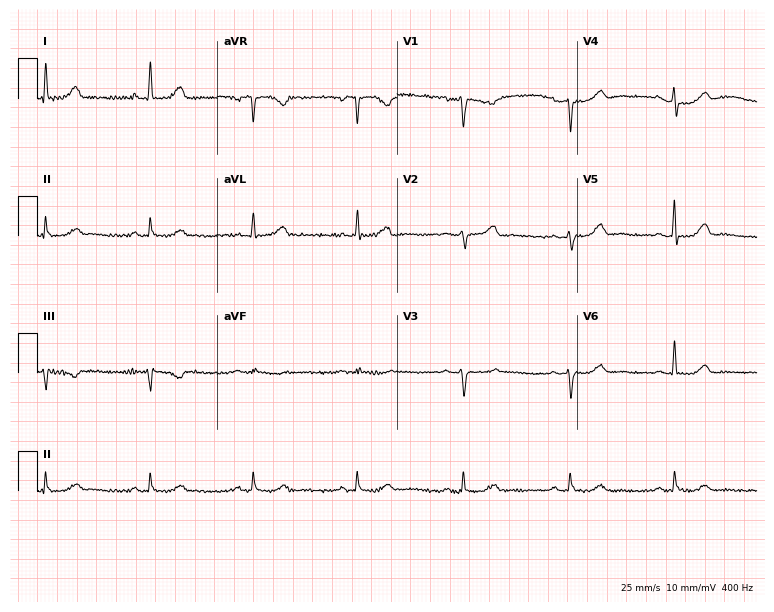
12-lead ECG (7.3-second recording at 400 Hz) from a female, 63 years old. Screened for six findings — first-degree AV block, right bundle branch block (RBBB), left bundle branch block (LBBB), sinus bradycardia, atrial fibrillation (AF), sinus tachycardia — none is recorded.